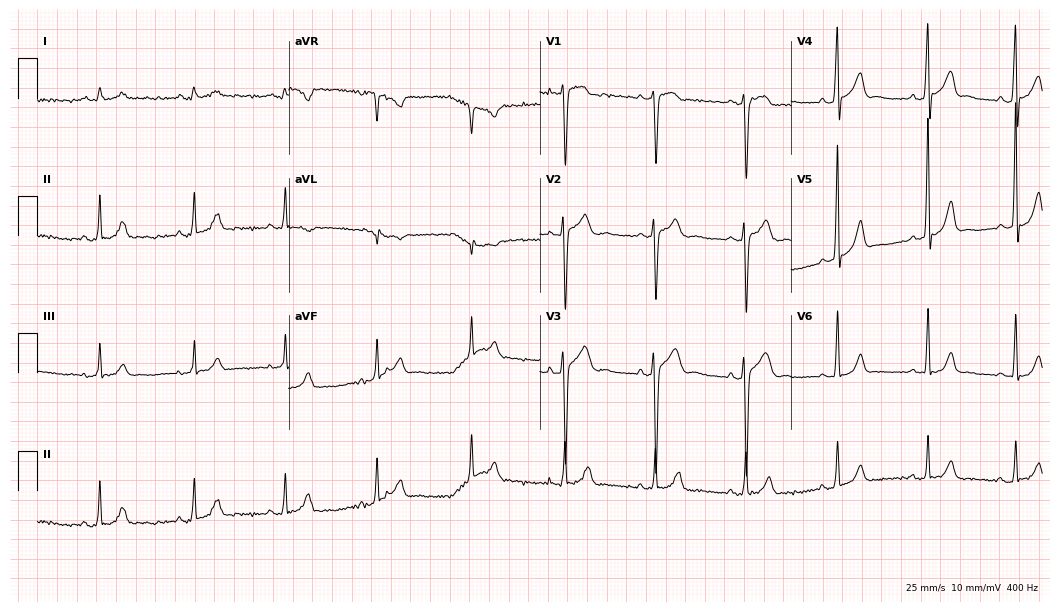
Standard 12-lead ECG recorded from an 18-year-old man. Read as a normal ECG.